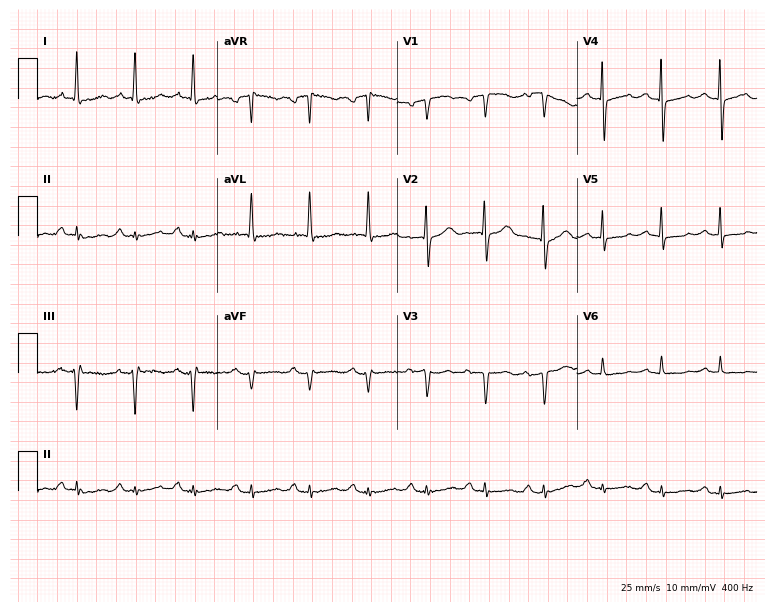
Electrocardiogram (7.3-second recording at 400 Hz), a 77-year-old woman. Of the six screened findings (first-degree AV block, right bundle branch block, left bundle branch block, sinus bradycardia, atrial fibrillation, sinus tachycardia), none is recorded. Only these six findings were labelled.